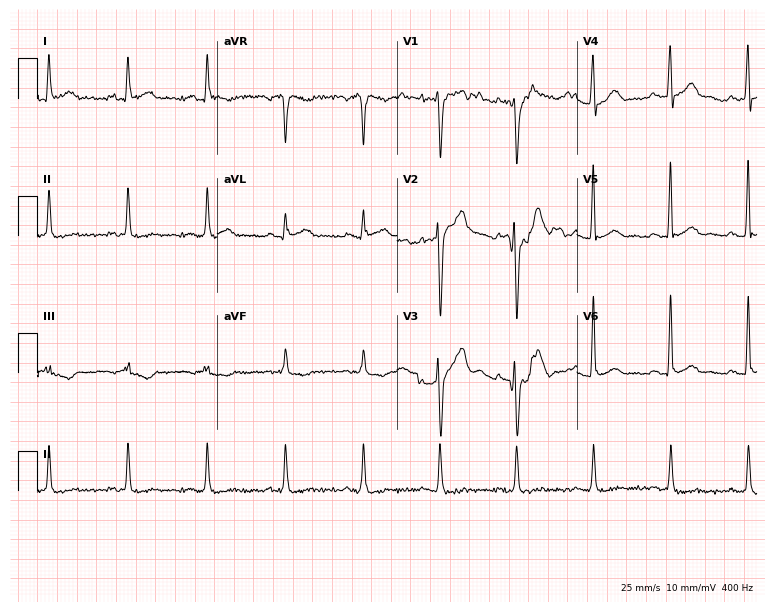
Standard 12-lead ECG recorded from a 39-year-old male patient. Read as a normal ECG.